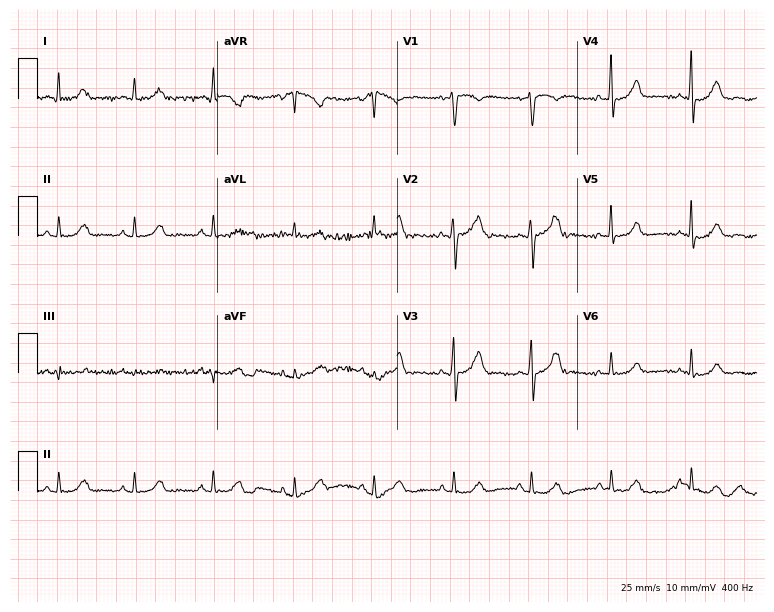
Electrocardiogram (7.3-second recording at 400 Hz), a female, 43 years old. Overall reading on record: normal ECG.